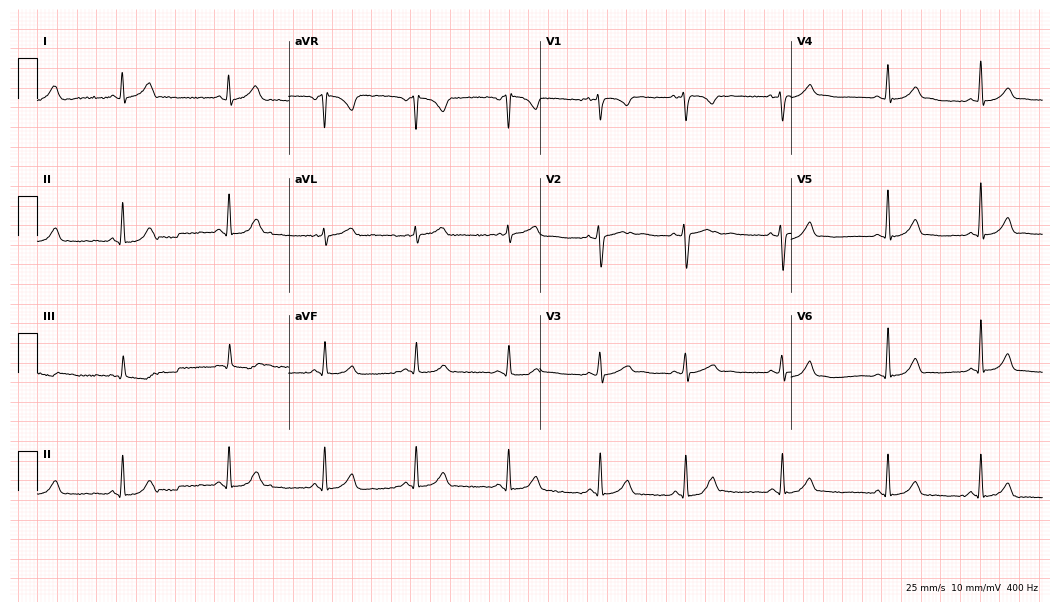
Resting 12-lead electrocardiogram. Patient: a 26-year-old woman. Read as a normal ECG.